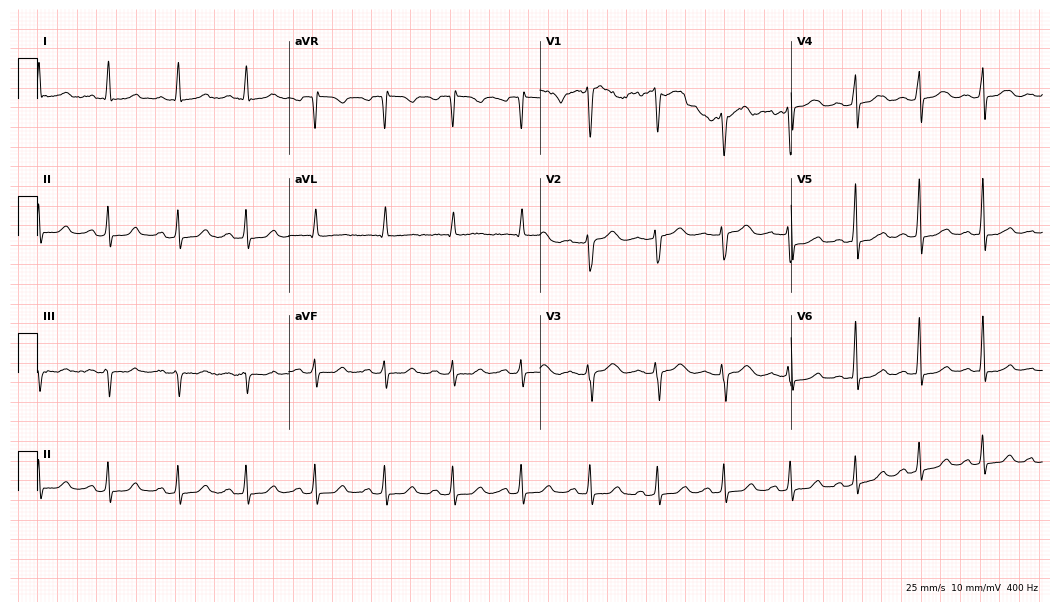
Standard 12-lead ECG recorded from a 46-year-old woman. None of these six findings is recorded: first-degree AV block, right bundle branch block (RBBB), left bundle branch block (LBBB), sinus bradycardia, atrial fibrillation (AF), sinus tachycardia.